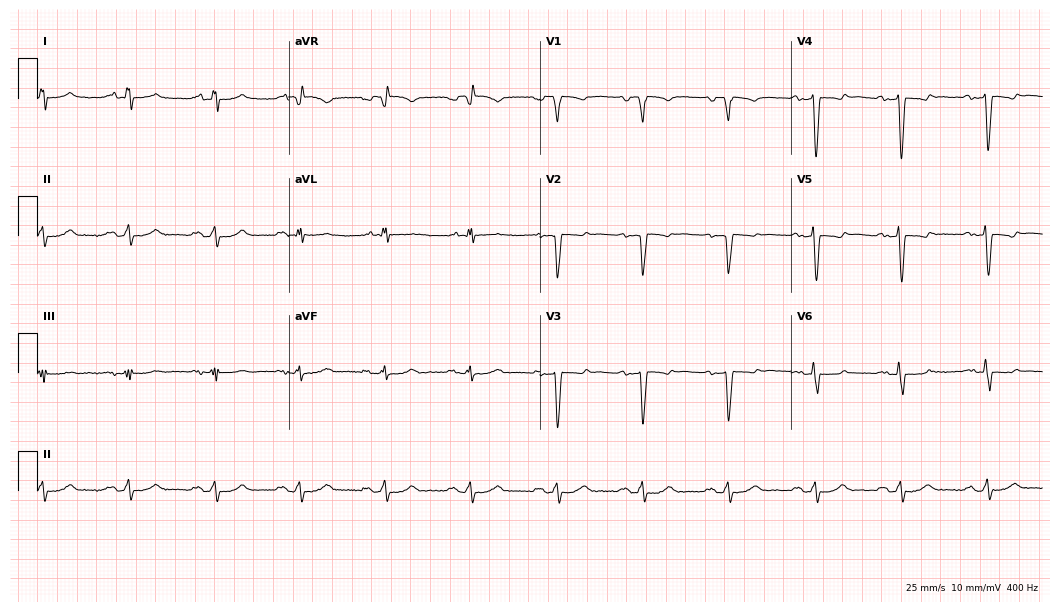
Electrocardiogram, a male, 76 years old. Of the six screened findings (first-degree AV block, right bundle branch block, left bundle branch block, sinus bradycardia, atrial fibrillation, sinus tachycardia), none is recorded.